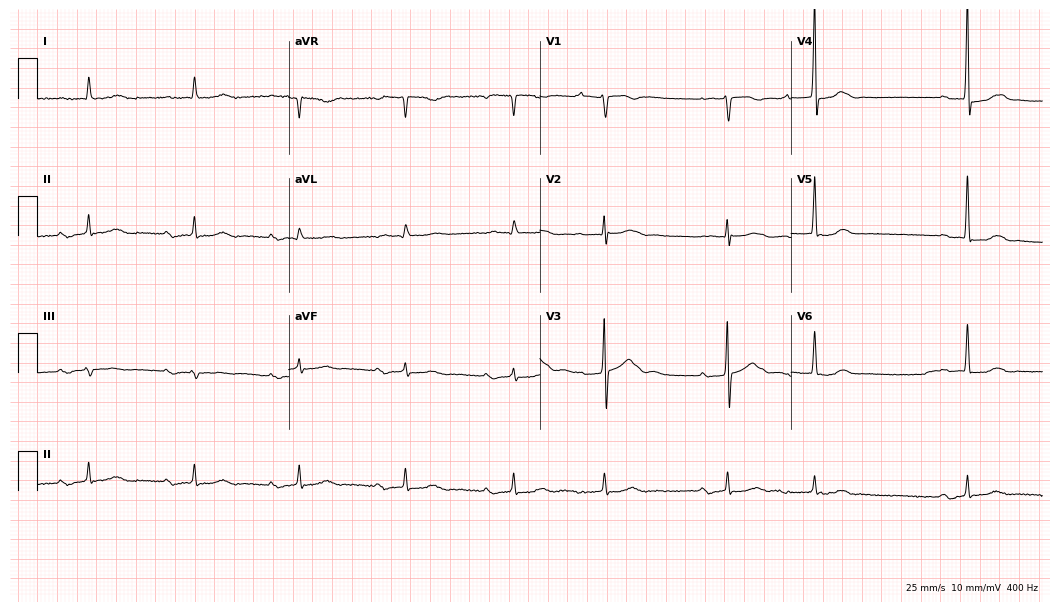
Resting 12-lead electrocardiogram. Patient: a male, 85 years old. None of these six findings is recorded: first-degree AV block, right bundle branch block, left bundle branch block, sinus bradycardia, atrial fibrillation, sinus tachycardia. Findings outside these six are not listed.